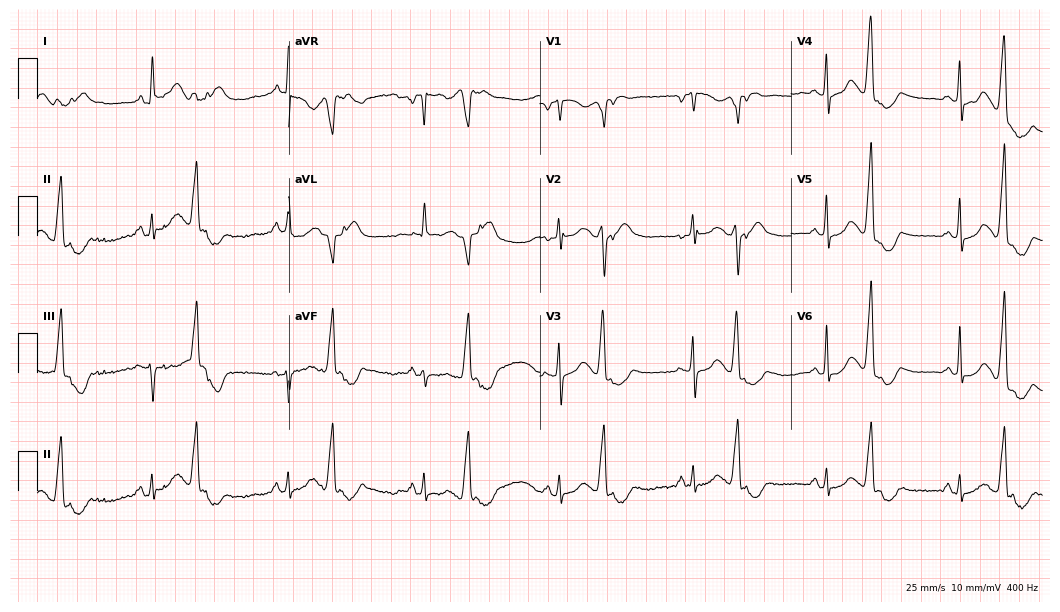
12-lead ECG from a 59-year-old male patient (10.2-second recording at 400 Hz). No first-degree AV block, right bundle branch block (RBBB), left bundle branch block (LBBB), sinus bradycardia, atrial fibrillation (AF) or sinus tachycardia recorded for this tracing. Only these six findings were labelled.